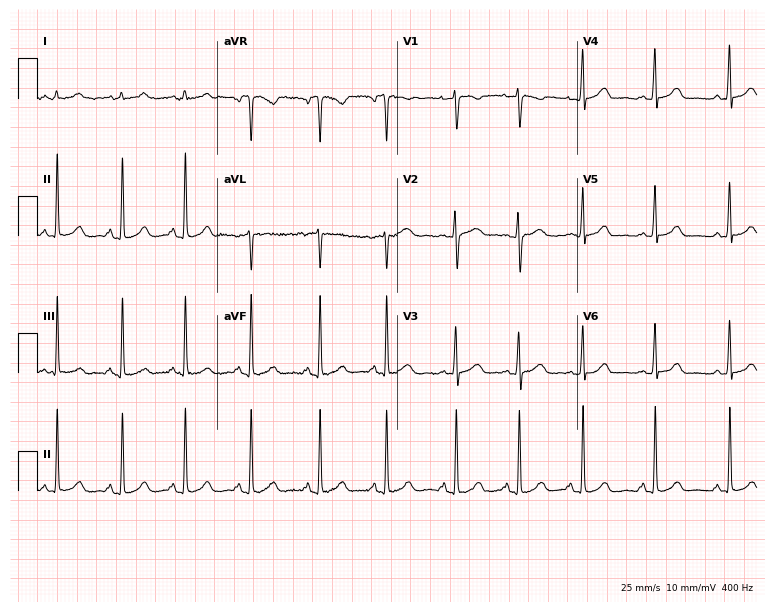
ECG (7.3-second recording at 400 Hz) — a woman, 25 years old. Screened for six findings — first-degree AV block, right bundle branch block, left bundle branch block, sinus bradycardia, atrial fibrillation, sinus tachycardia — none is recorded. Findings outside these six are not listed.